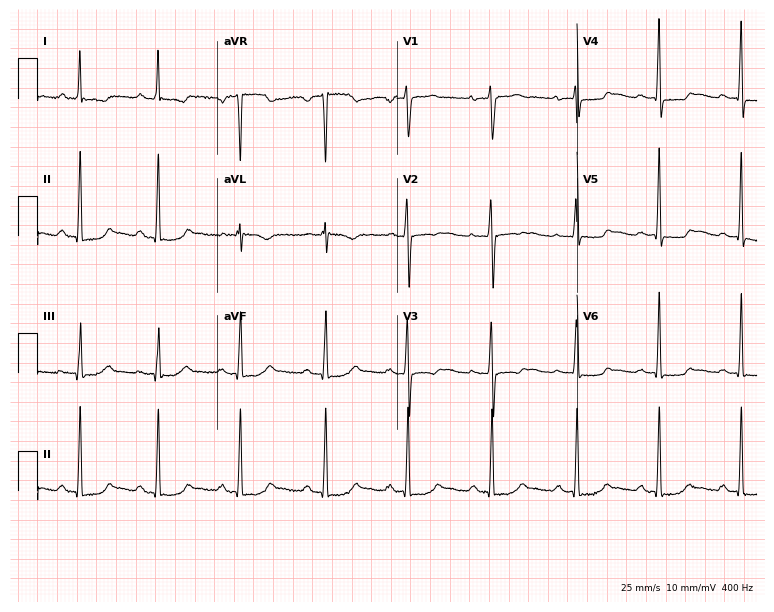
Standard 12-lead ECG recorded from a female patient, 51 years old (7.3-second recording at 400 Hz). None of these six findings is recorded: first-degree AV block, right bundle branch block, left bundle branch block, sinus bradycardia, atrial fibrillation, sinus tachycardia.